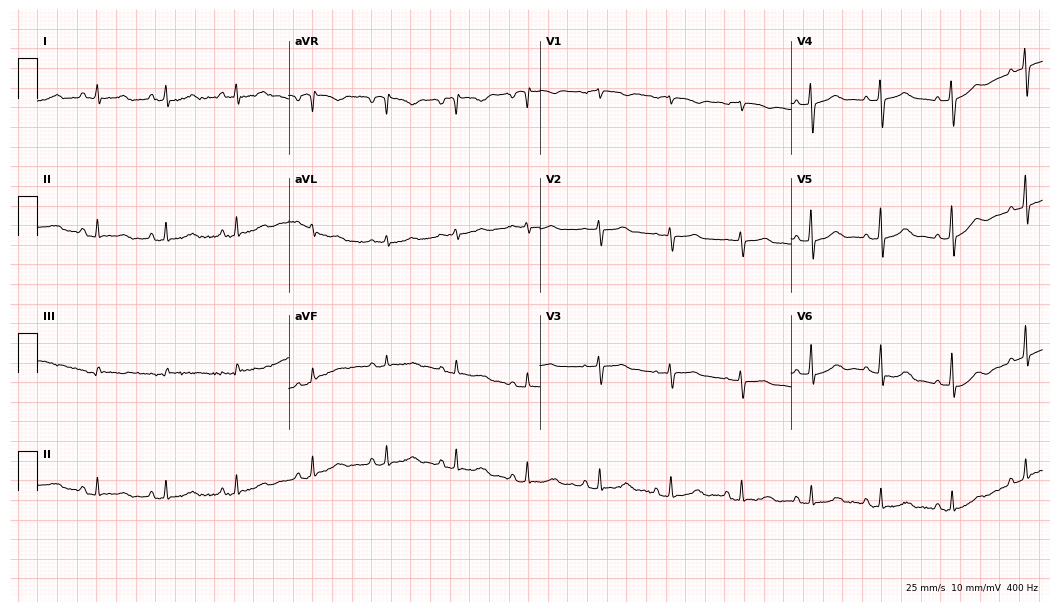
Resting 12-lead electrocardiogram. Patient: a female, 76 years old. Read as a normal ECG.